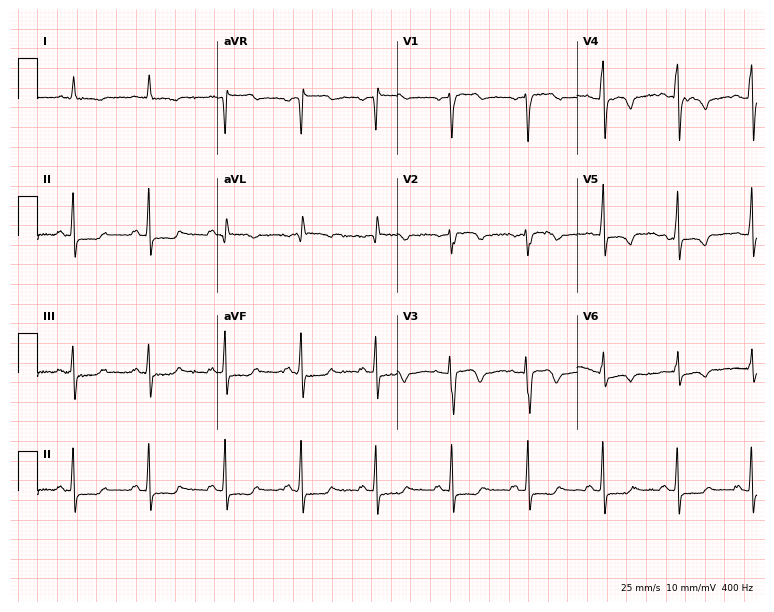
12-lead ECG from a man, 67 years old. Screened for six findings — first-degree AV block, right bundle branch block (RBBB), left bundle branch block (LBBB), sinus bradycardia, atrial fibrillation (AF), sinus tachycardia — none is recorded.